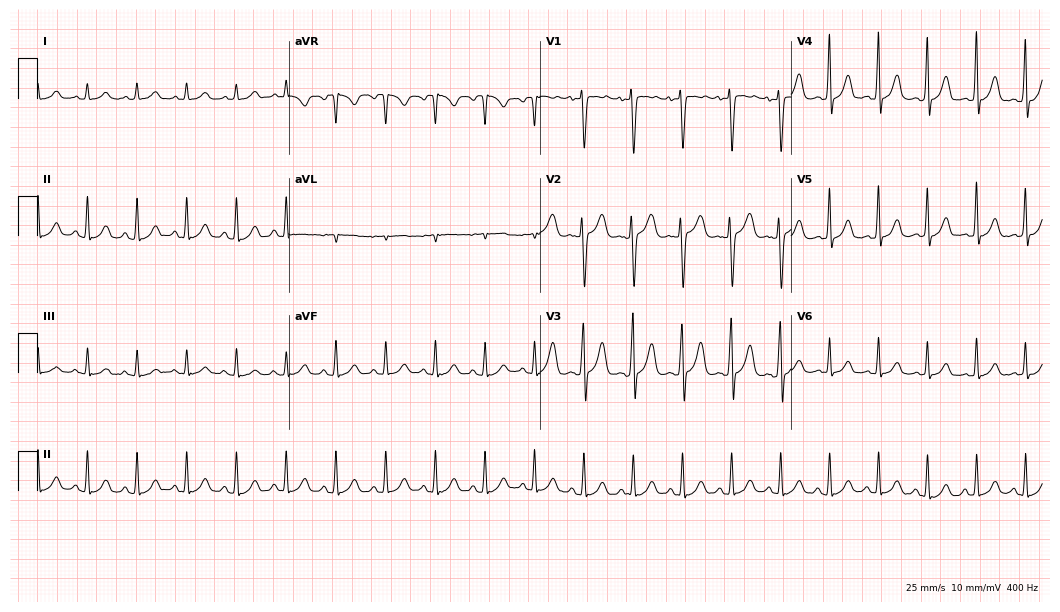
Electrocardiogram, a 17-year-old male patient. Interpretation includes sinus tachycardia (a sinus rate of 100 beats per minute or more).